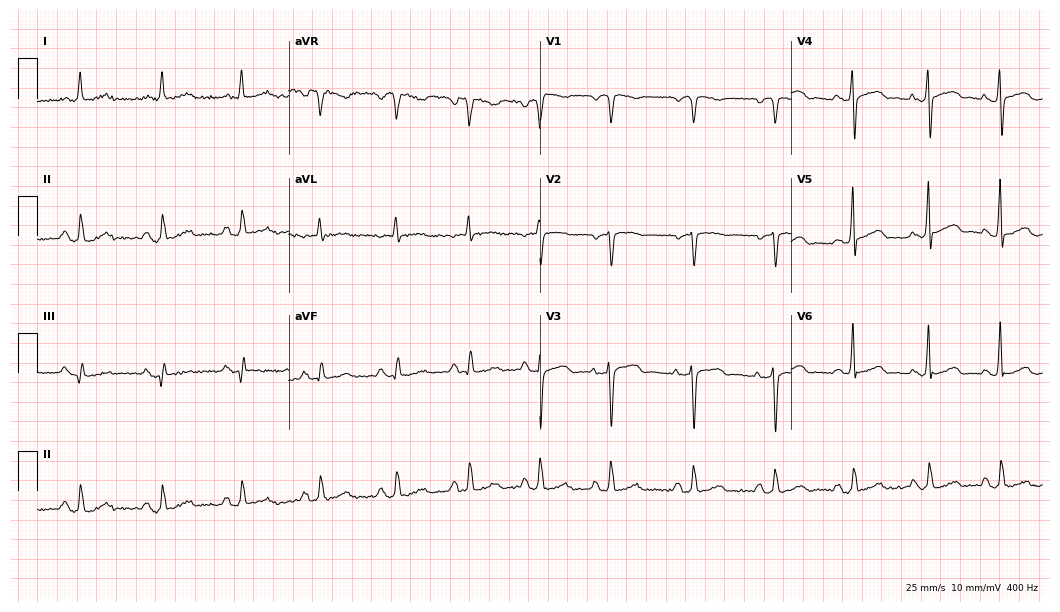
Resting 12-lead electrocardiogram. Patient: a 66-year-old woman. None of these six findings is recorded: first-degree AV block, right bundle branch block, left bundle branch block, sinus bradycardia, atrial fibrillation, sinus tachycardia. Findings outside these six are not listed.